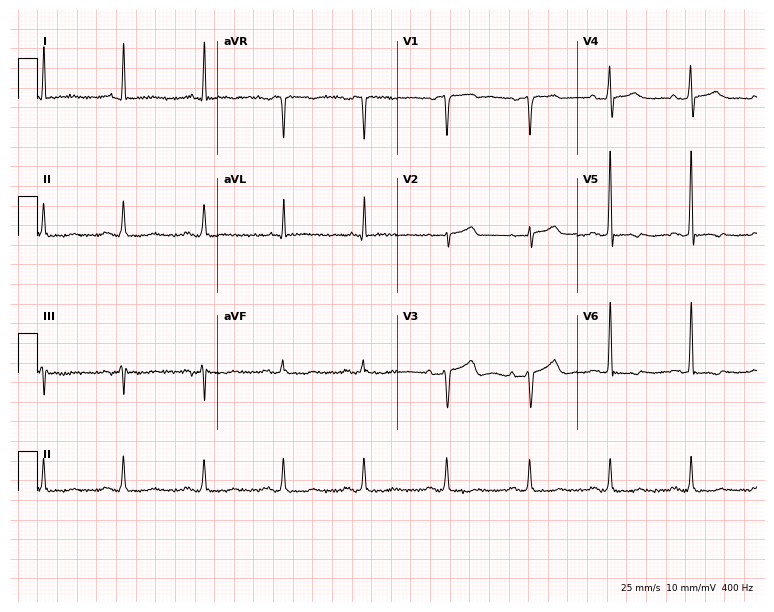
ECG (7.3-second recording at 400 Hz) — a 70-year-old female. Screened for six findings — first-degree AV block, right bundle branch block (RBBB), left bundle branch block (LBBB), sinus bradycardia, atrial fibrillation (AF), sinus tachycardia — none is recorded. Only these six findings were labelled.